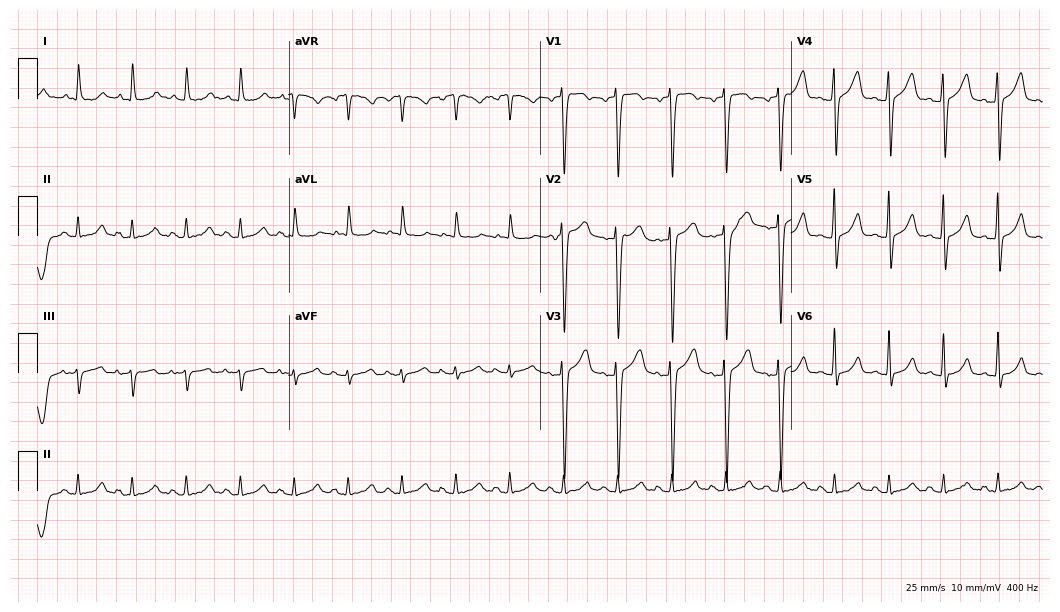
12-lead ECG from a 57-year-old male patient (10.2-second recording at 400 Hz). Shows sinus tachycardia (a sinus rate of 100 beats per minute or more).